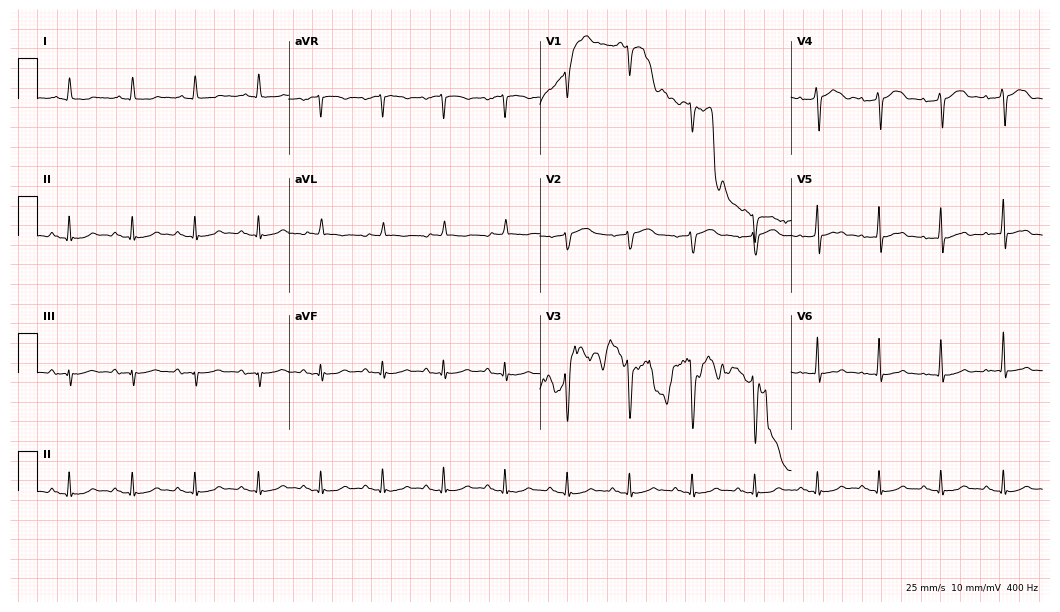
12-lead ECG from a male patient, 65 years old (10.2-second recording at 400 Hz). Recorded interpretation: within normal limits.